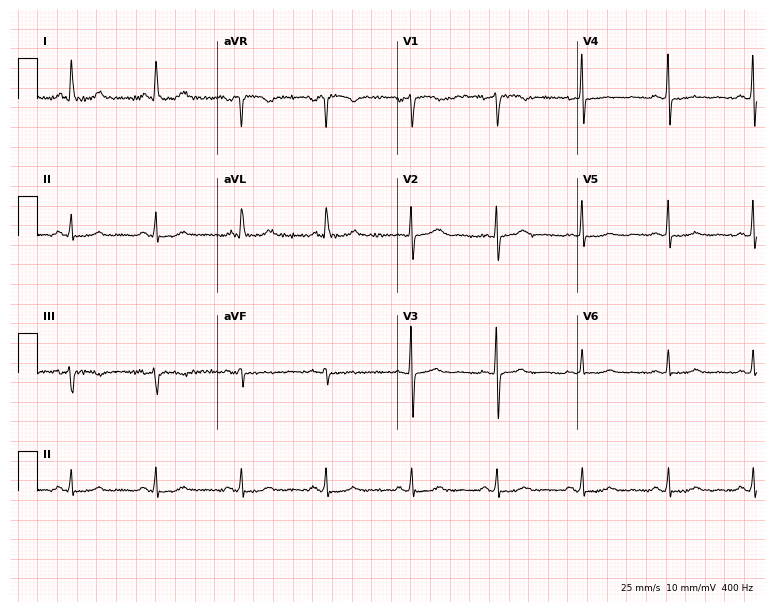
ECG (7.3-second recording at 400 Hz) — a female patient, 63 years old. Screened for six findings — first-degree AV block, right bundle branch block (RBBB), left bundle branch block (LBBB), sinus bradycardia, atrial fibrillation (AF), sinus tachycardia — none is recorded. Only these six findings were labelled.